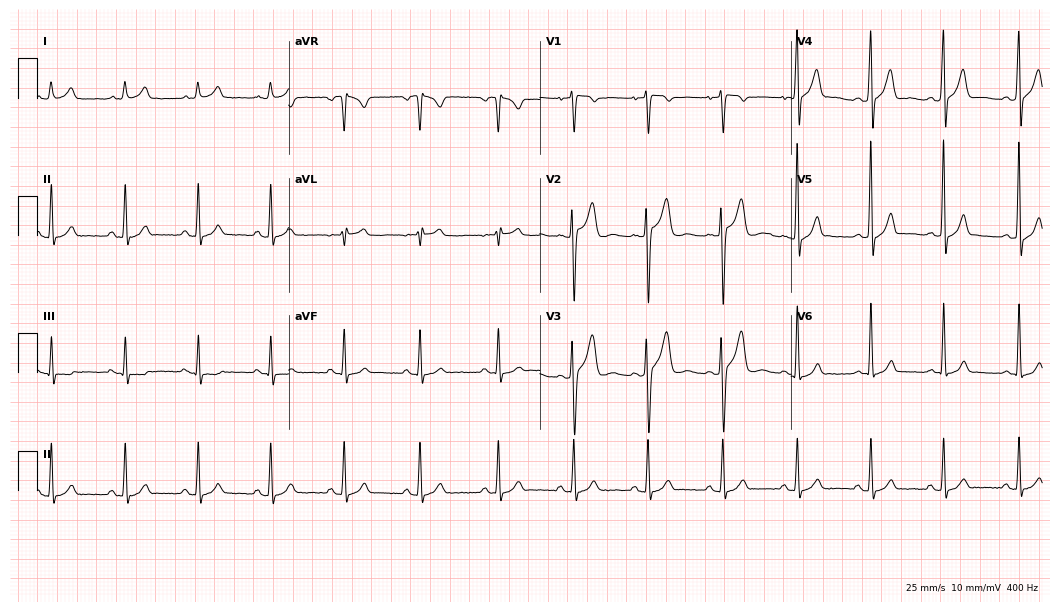
12-lead ECG from a man, 33 years old (10.2-second recording at 400 Hz). Recorded interpretation: within normal limits.